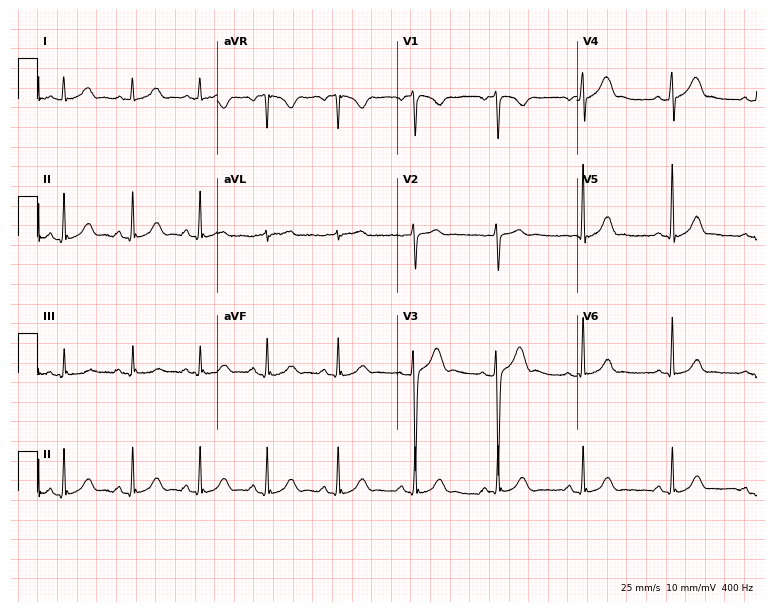
12-lead ECG from a male patient, 22 years old (7.3-second recording at 400 Hz). Recorded interpretation: within normal limits.